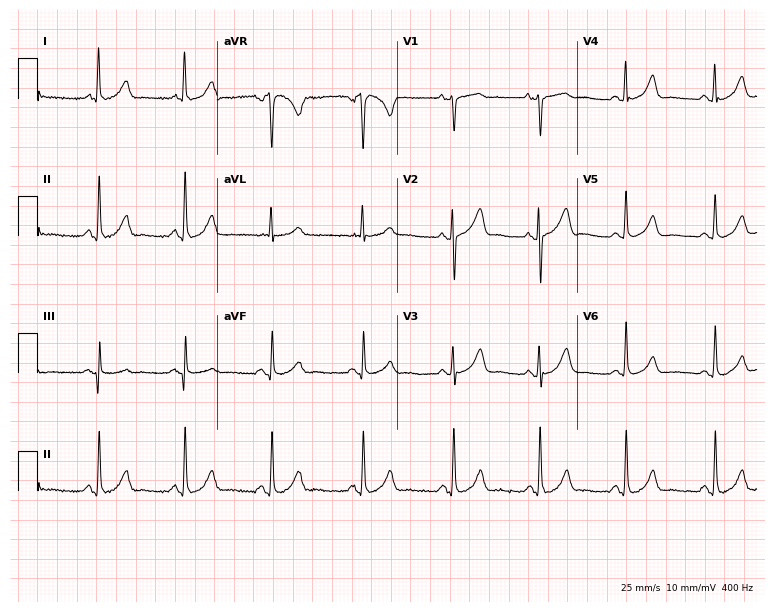
12-lead ECG from a 52-year-old female (7.3-second recording at 400 Hz). Recorded interpretation: within normal limits.